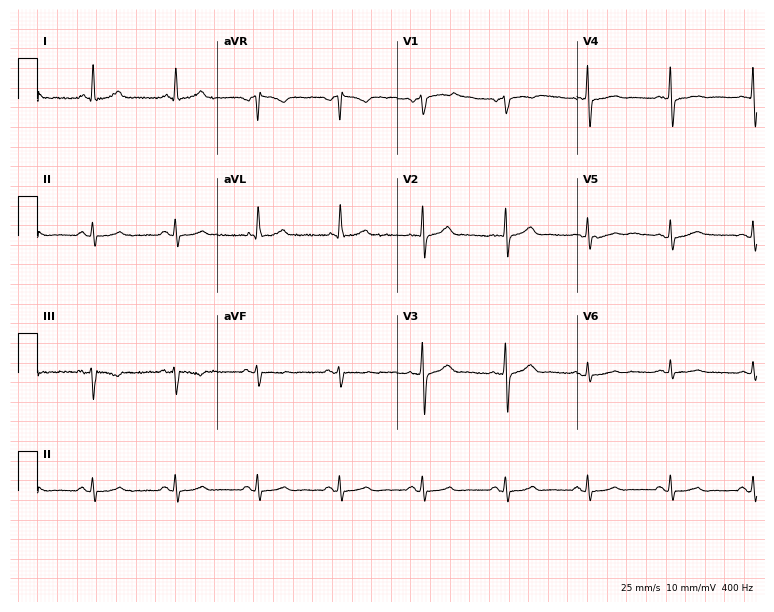
12-lead ECG from a 67-year-old female patient. No first-degree AV block, right bundle branch block, left bundle branch block, sinus bradycardia, atrial fibrillation or sinus tachycardia recorded for this tracing. Only these six findings were labelled.